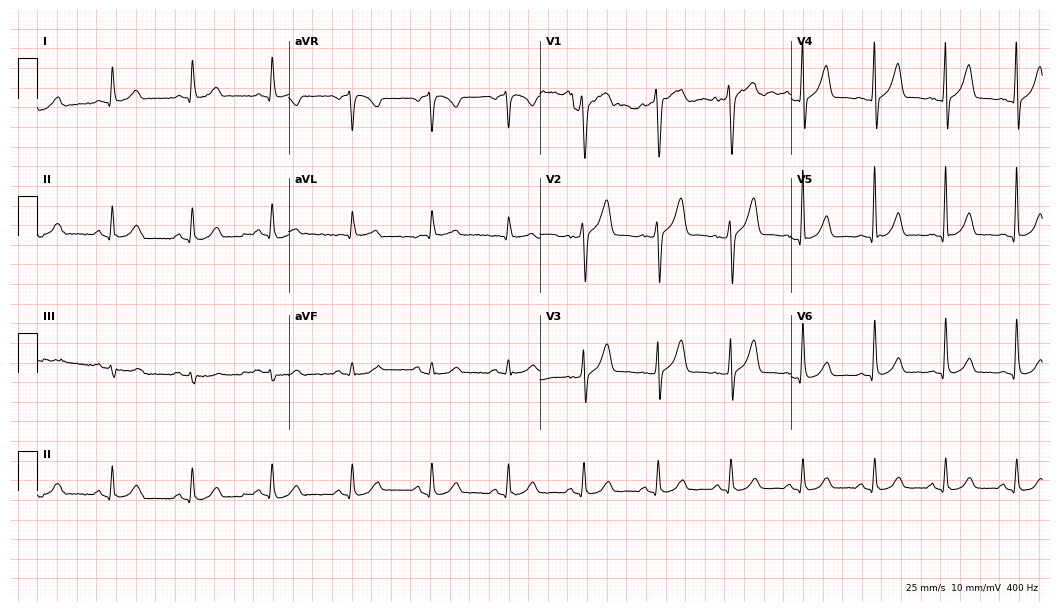
Resting 12-lead electrocardiogram (10.2-second recording at 400 Hz). Patient: a 53-year-old male. None of these six findings is recorded: first-degree AV block, right bundle branch block, left bundle branch block, sinus bradycardia, atrial fibrillation, sinus tachycardia.